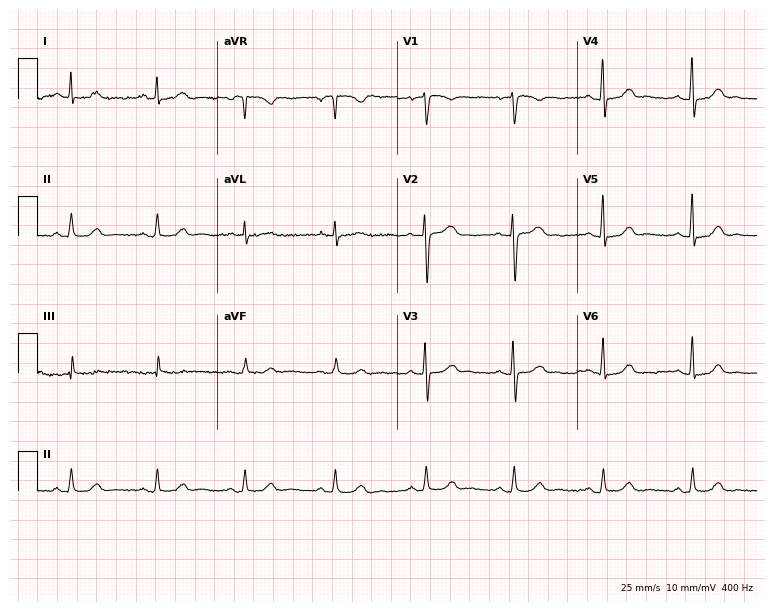
Resting 12-lead electrocardiogram (7.3-second recording at 400 Hz). Patient: a 53-year-old woman. Read as a normal ECG.